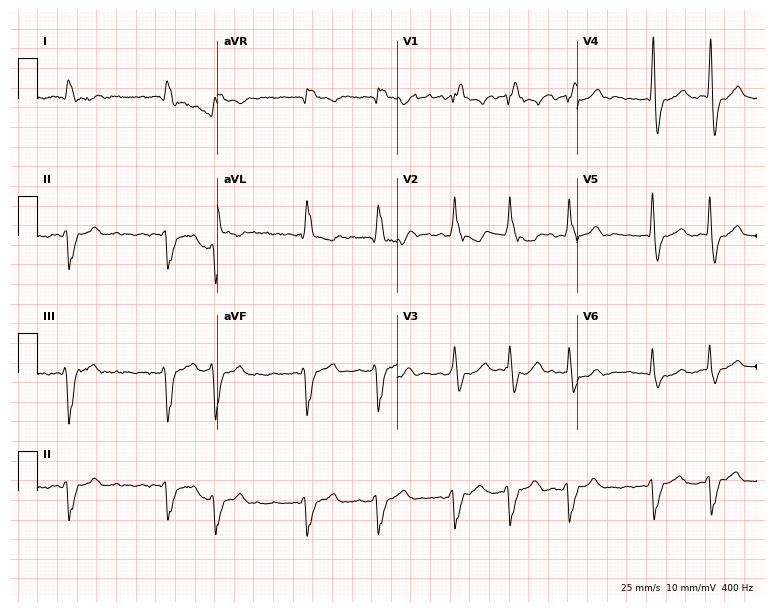
Resting 12-lead electrocardiogram (7.3-second recording at 400 Hz). Patient: a male, 75 years old. The tracing shows right bundle branch block (RBBB), atrial fibrillation (AF).